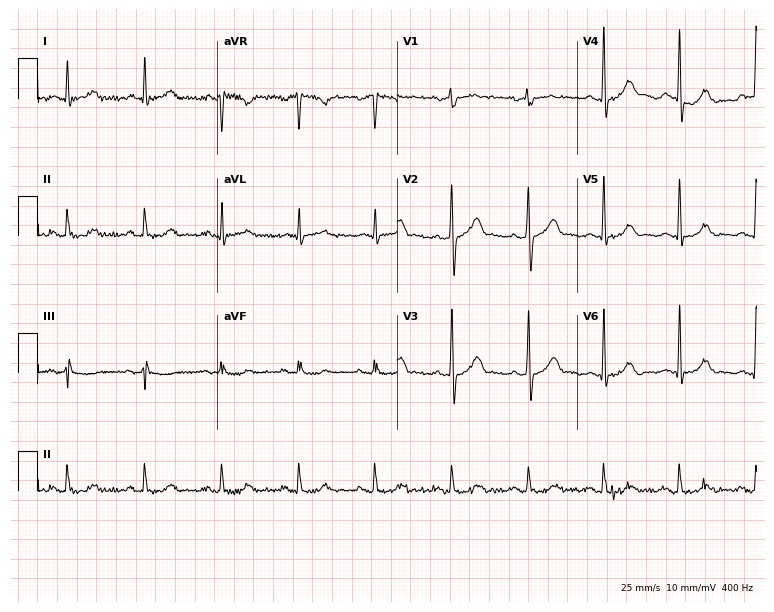
ECG — a 64-year-old male. Screened for six findings — first-degree AV block, right bundle branch block, left bundle branch block, sinus bradycardia, atrial fibrillation, sinus tachycardia — none is recorded. Findings outside these six are not listed.